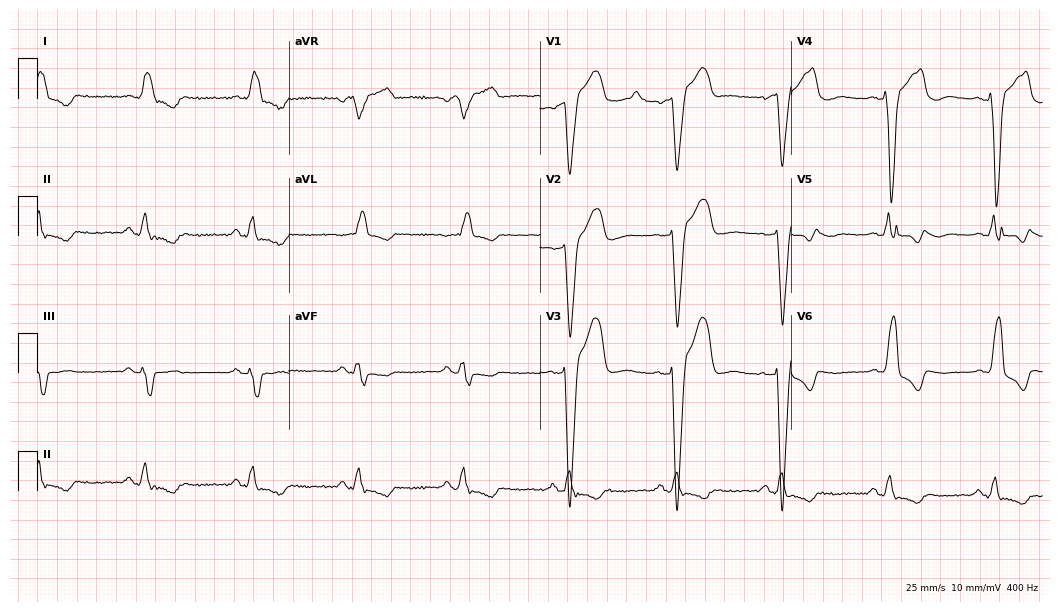
Electrocardiogram (10.2-second recording at 400 Hz), a male, 60 years old. Interpretation includes left bundle branch block.